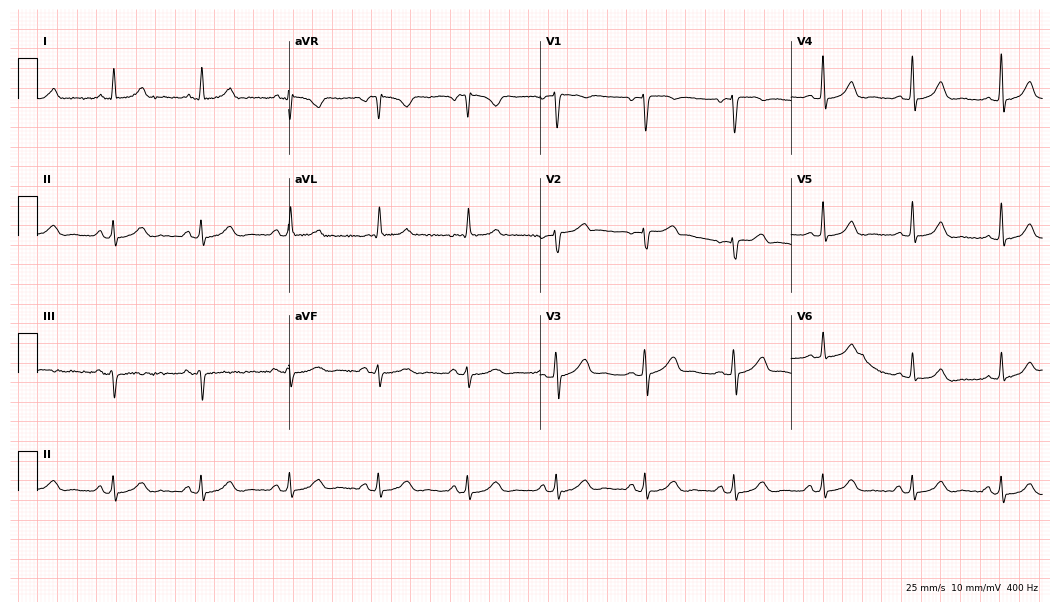
Resting 12-lead electrocardiogram (10.2-second recording at 400 Hz). Patient: a 49-year-old female. Read as a normal ECG.